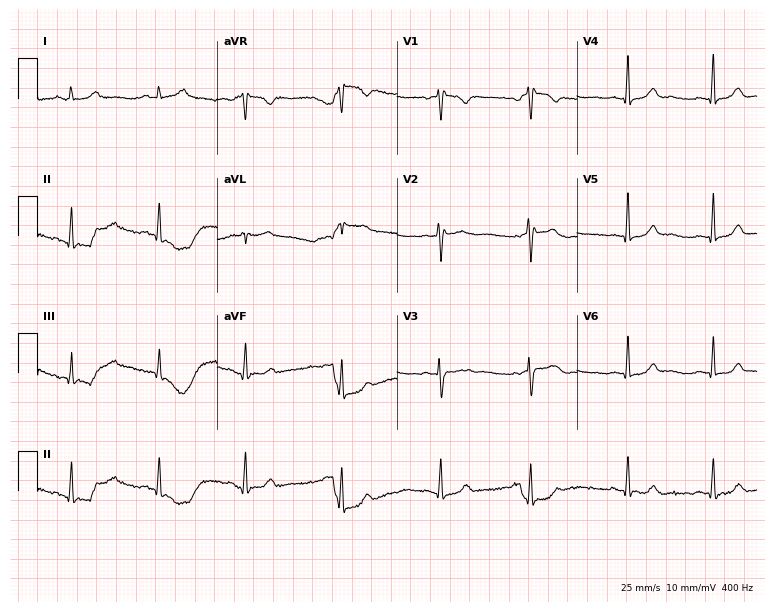
Resting 12-lead electrocardiogram (7.3-second recording at 400 Hz). Patient: a woman, 21 years old. Read as a normal ECG.